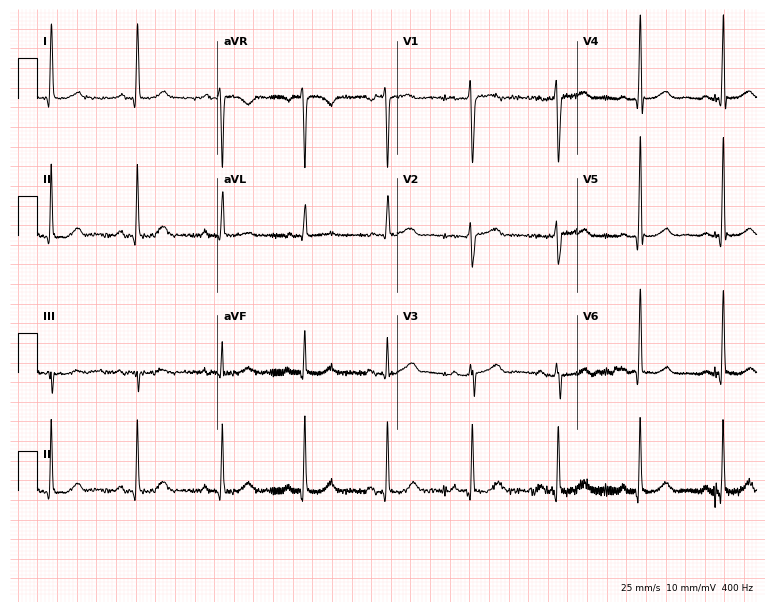
Resting 12-lead electrocardiogram (7.3-second recording at 400 Hz). Patient: a female, 41 years old. Read as a normal ECG.